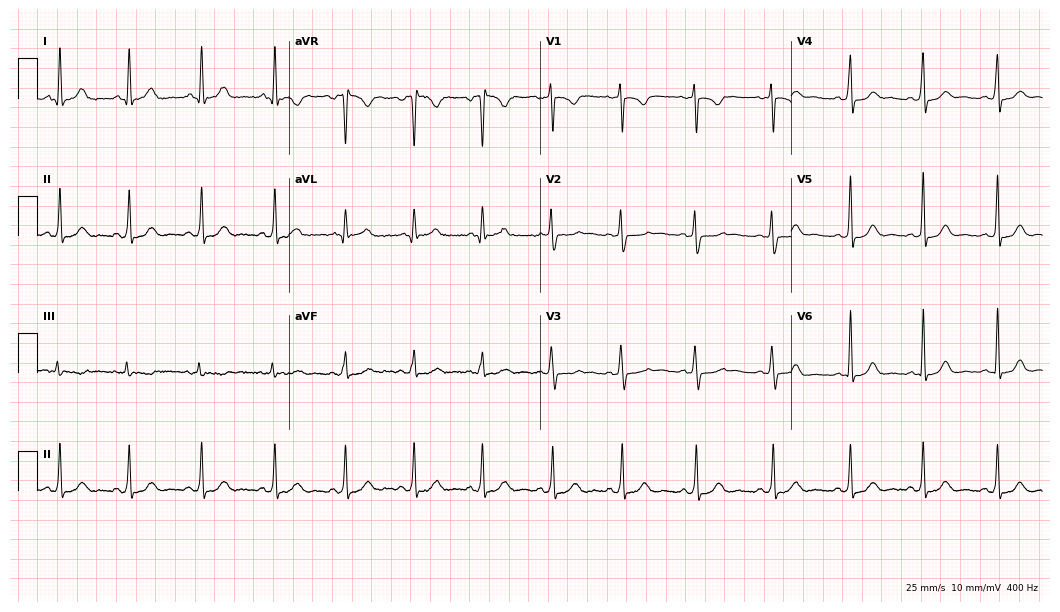
Electrocardiogram (10.2-second recording at 400 Hz), a woman, 25 years old. Of the six screened findings (first-degree AV block, right bundle branch block (RBBB), left bundle branch block (LBBB), sinus bradycardia, atrial fibrillation (AF), sinus tachycardia), none is recorded.